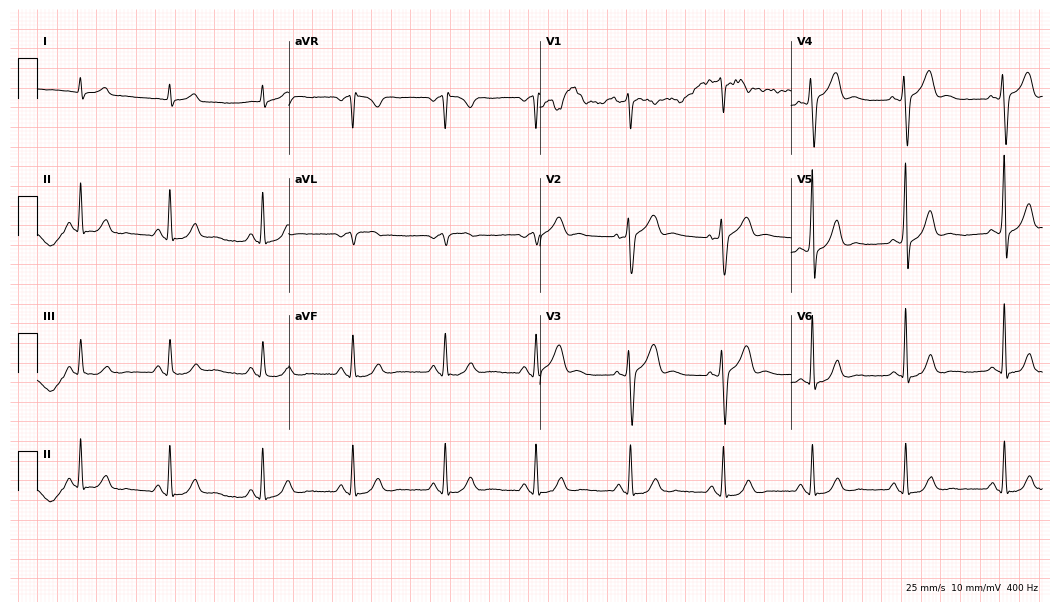
Standard 12-lead ECG recorded from a 56-year-old male (10.2-second recording at 400 Hz). Read as a normal ECG.